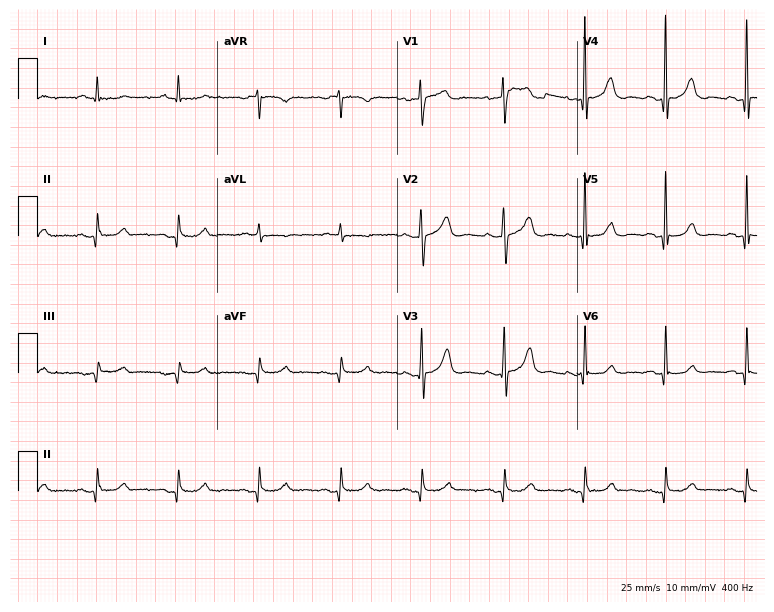
12-lead ECG (7.3-second recording at 400 Hz) from a male, 77 years old. Screened for six findings — first-degree AV block, right bundle branch block, left bundle branch block, sinus bradycardia, atrial fibrillation, sinus tachycardia — none is recorded. Other findings, if any, are not listed.